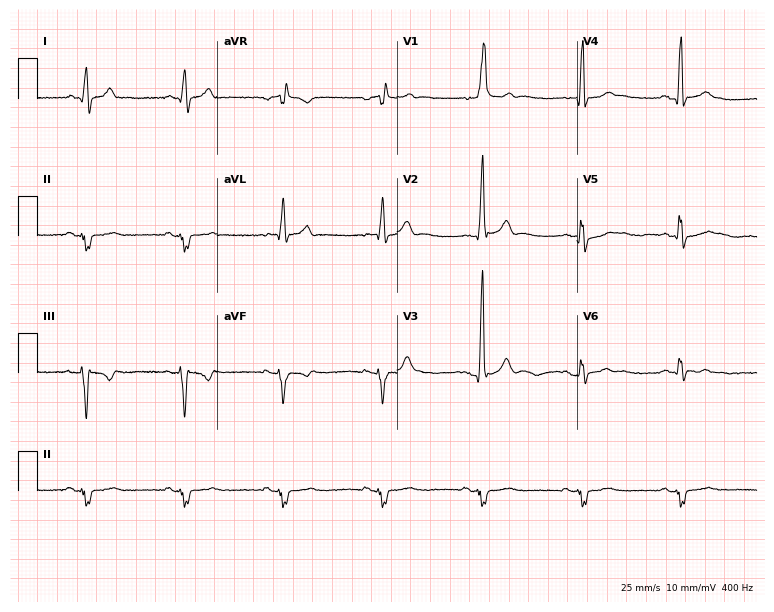
12-lead ECG from an 84-year-old man (7.3-second recording at 400 Hz). Shows right bundle branch block (RBBB).